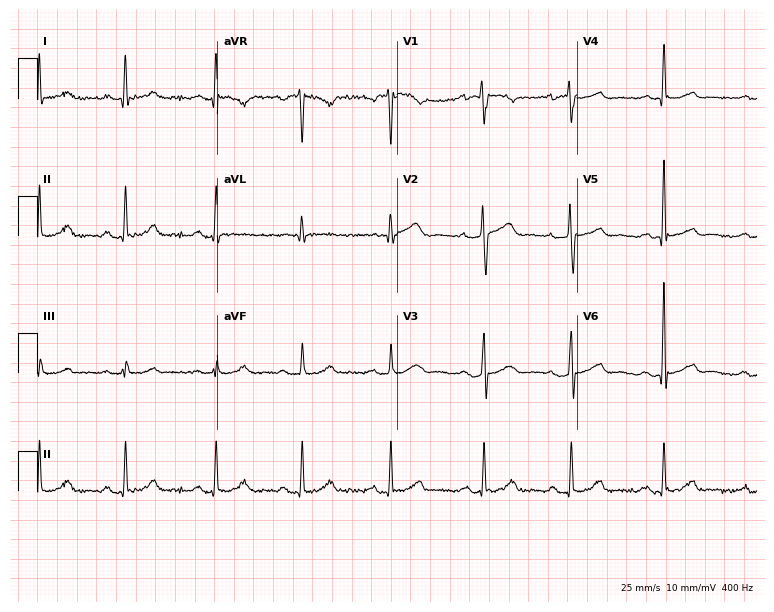
Resting 12-lead electrocardiogram. Patient: a 52-year-old female. The tracing shows first-degree AV block.